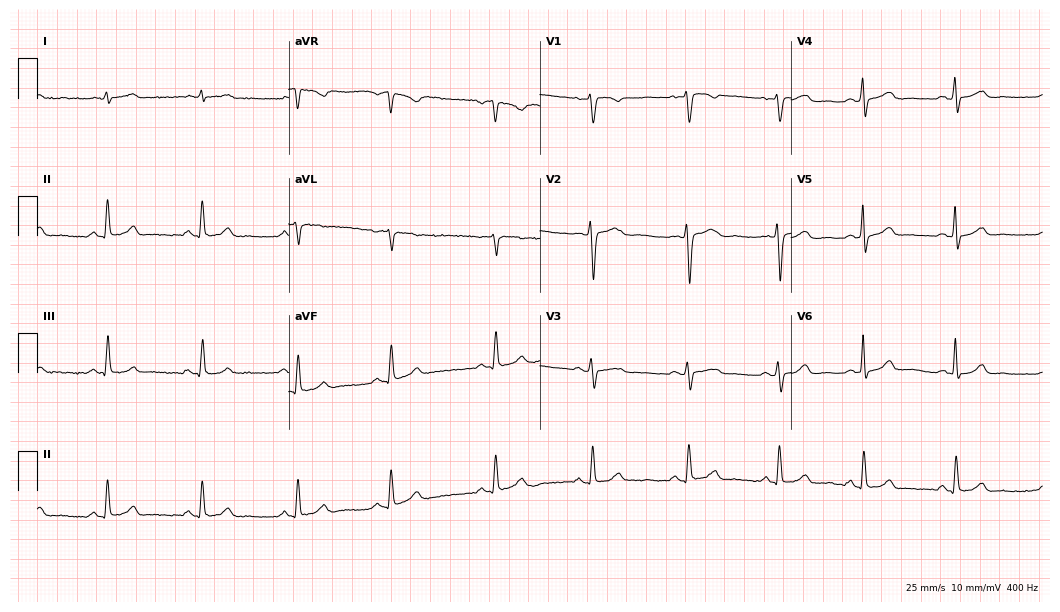
12-lead ECG from a female patient, 35 years old. Recorded interpretation: within normal limits.